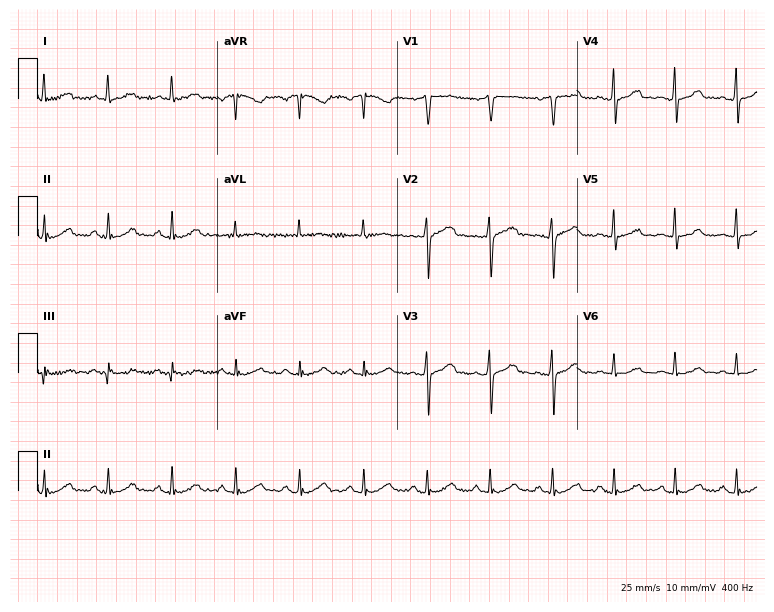
Electrocardiogram (7.3-second recording at 400 Hz), a 48-year-old male patient. Overall reading on record: normal ECG.